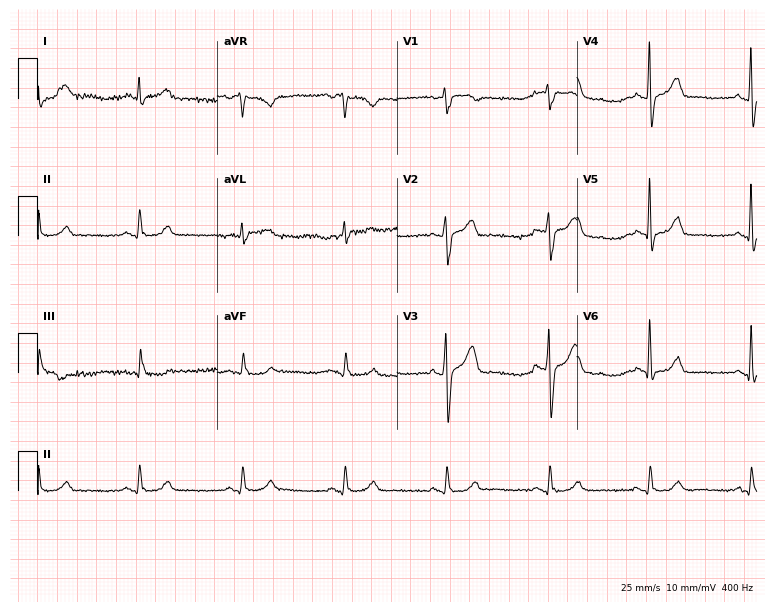
12-lead ECG from a male, 59 years old. Labelled as a normal ECG.